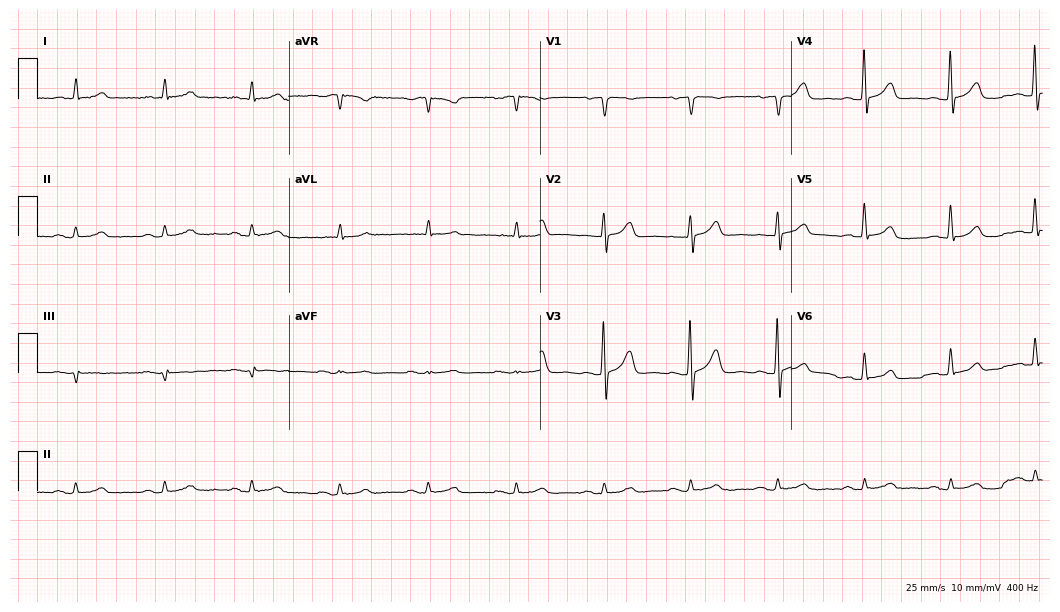
12-lead ECG (10.2-second recording at 400 Hz) from an 85-year-old man. Screened for six findings — first-degree AV block, right bundle branch block, left bundle branch block, sinus bradycardia, atrial fibrillation, sinus tachycardia — none is recorded.